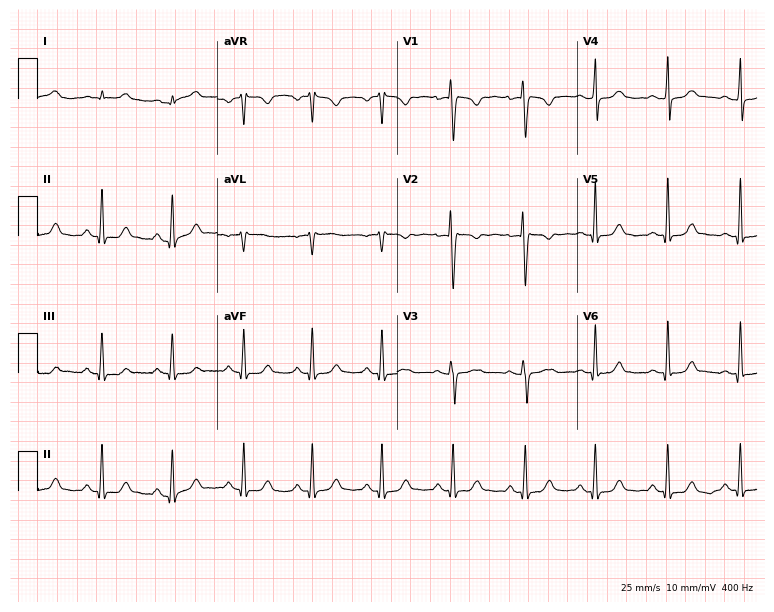
12-lead ECG from a 33-year-old female patient (7.3-second recording at 400 Hz). No first-degree AV block, right bundle branch block, left bundle branch block, sinus bradycardia, atrial fibrillation or sinus tachycardia recorded for this tracing. Findings outside these six are not listed.